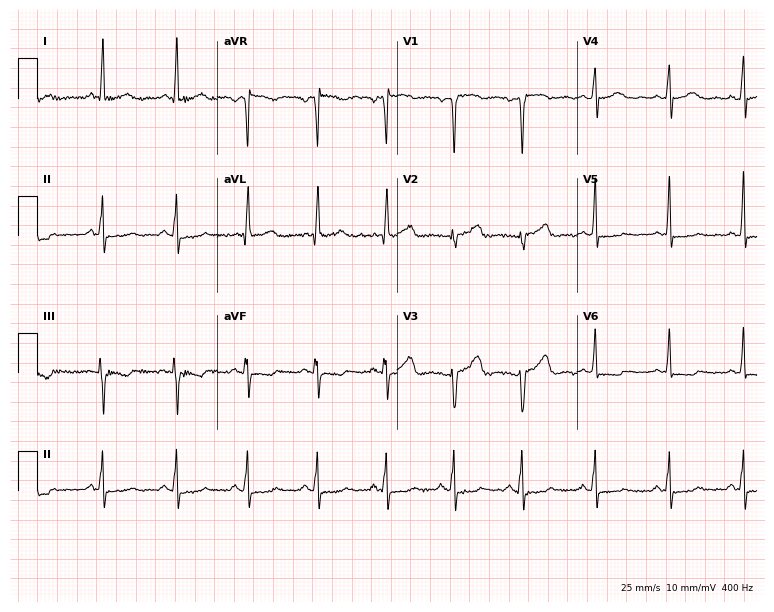
Resting 12-lead electrocardiogram (7.3-second recording at 400 Hz). Patient: a 27-year-old woman. None of these six findings is recorded: first-degree AV block, right bundle branch block, left bundle branch block, sinus bradycardia, atrial fibrillation, sinus tachycardia.